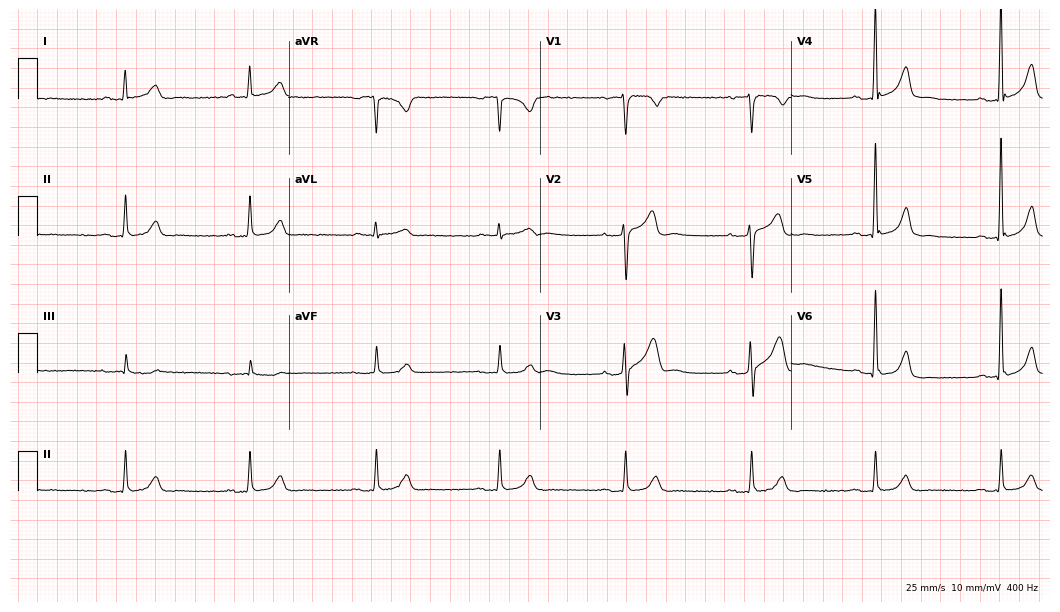
Standard 12-lead ECG recorded from a 52-year-old male (10.2-second recording at 400 Hz). The tracing shows sinus bradycardia (a sinus rate of 50 beats per minute or less).